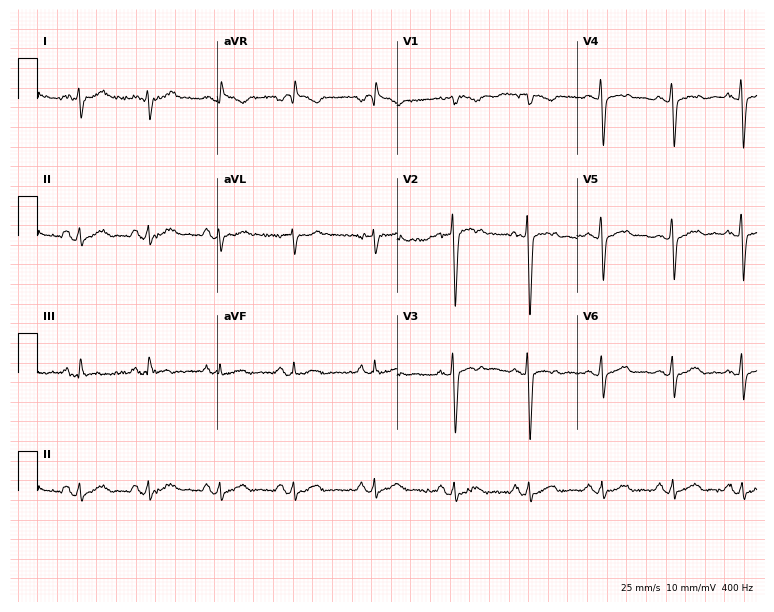
Electrocardiogram, a 35-year-old male. Of the six screened findings (first-degree AV block, right bundle branch block, left bundle branch block, sinus bradycardia, atrial fibrillation, sinus tachycardia), none is recorded. Other findings, if any, are not listed.